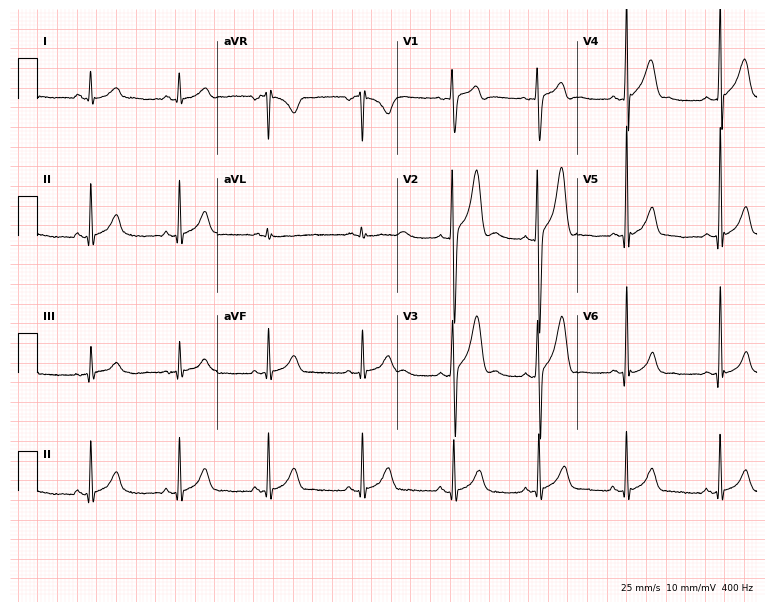
Resting 12-lead electrocardiogram (7.3-second recording at 400 Hz). Patient: a male, 23 years old. None of these six findings is recorded: first-degree AV block, right bundle branch block, left bundle branch block, sinus bradycardia, atrial fibrillation, sinus tachycardia. Other findings, if any, are not listed.